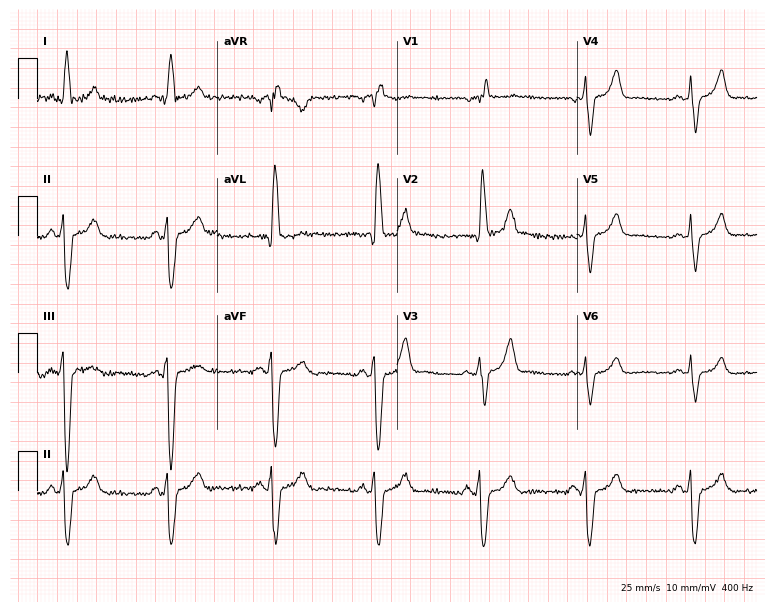
12-lead ECG from a woman, 68 years old. Findings include right bundle branch block.